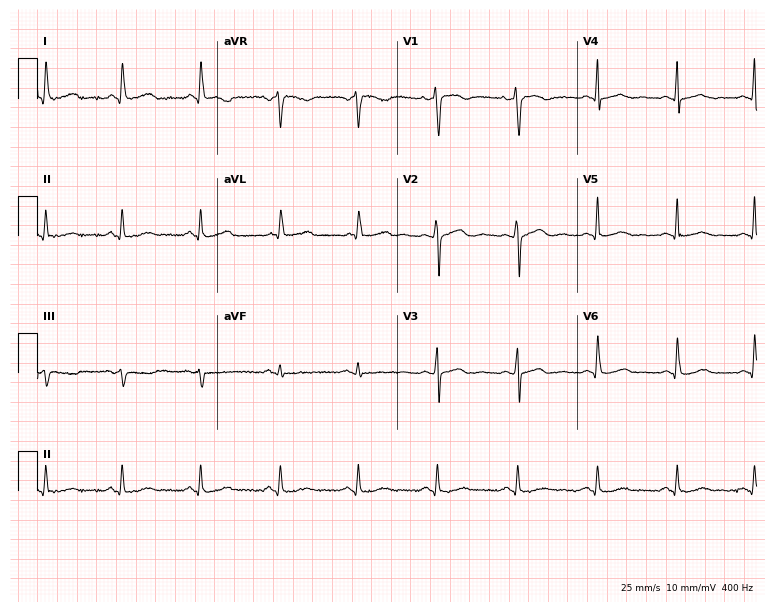
Resting 12-lead electrocardiogram (7.3-second recording at 400 Hz). Patient: a 42-year-old woman. None of these six findings is recorded: first-degree AV block, right bundle branch block, left bundle branch block, sinus bradycardia, atrial fibrillation, sinus tachycardia. Only these six findings were labelled.